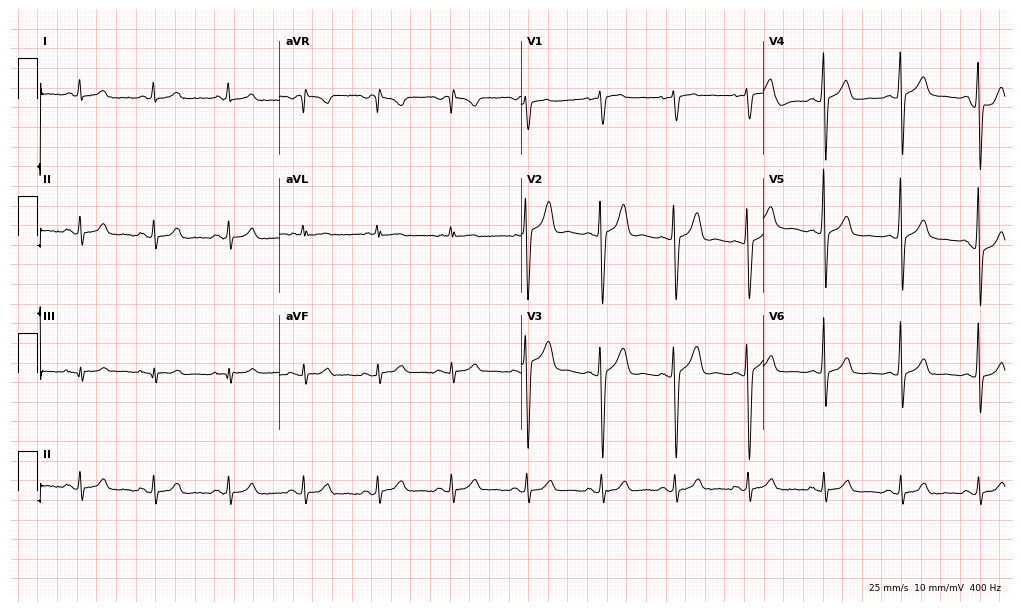
Resting 12-lead electrocardiogram (9.9-second recording at 400 Hz). Patient: a 29-year-old female. None of these six findings is recorded: first-degree AV block, right bundle branch block, left bundle branch block, sinus bradycardia, atrial fibrillation, sinus tachycardia. Findings outside these six are not listed.